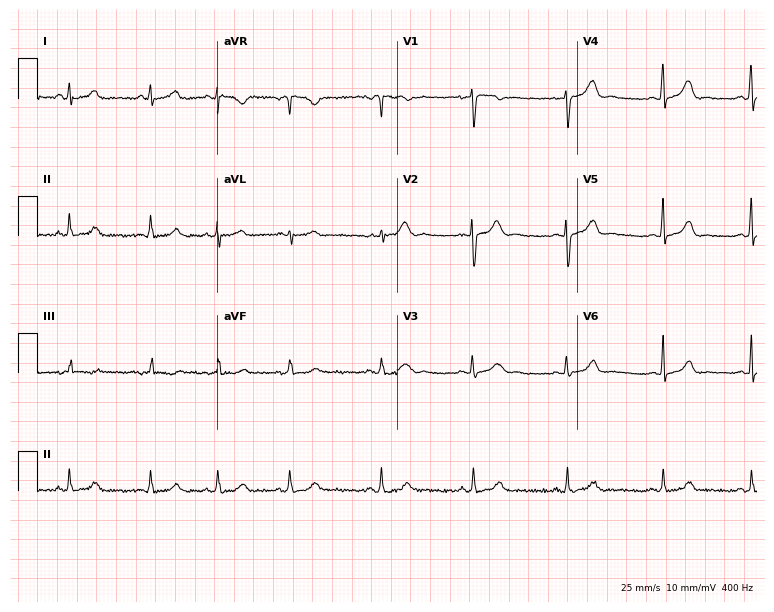
12-lead ECG (7.3-second recording at 400 Hz) from a female, 27 years old. Labelled as a normal ECG.